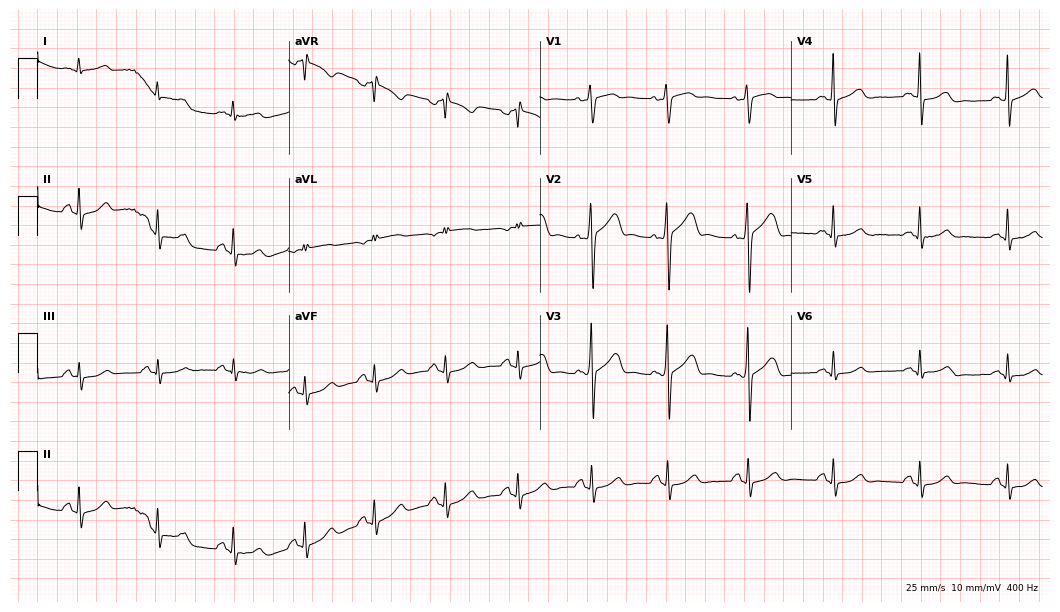
Electrocardiogram (10.2-second recording at 400 Hz), a 38-year-old male patient. Overall reading on record: normal ECG.